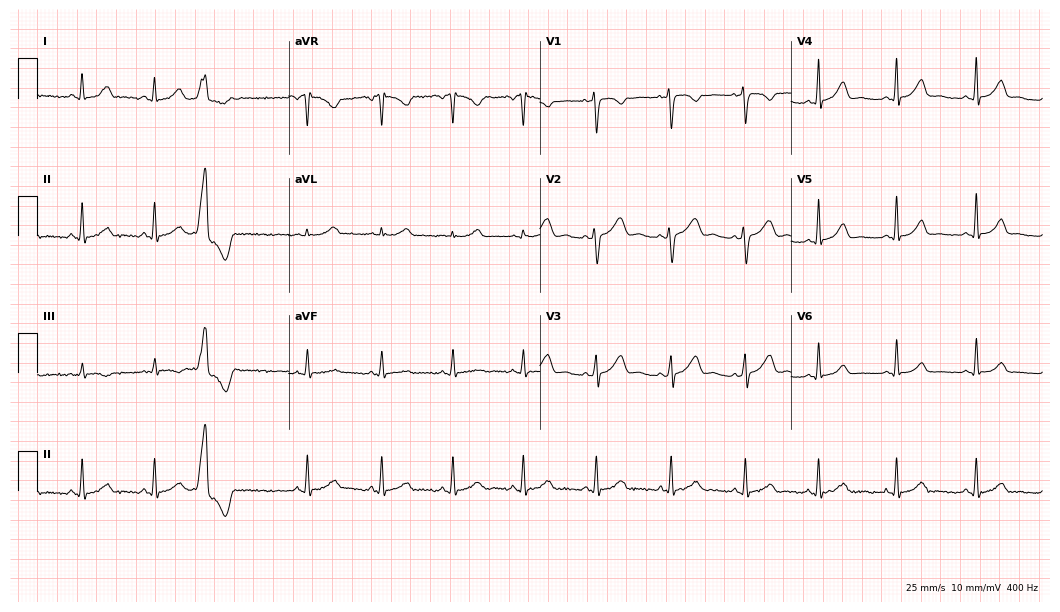
Standard 12-lead ECG recorded from a female patient, 38 years old (10.2-second recording at 400 Hz). None of these six findings is recorded: first-degree AV block, right bundle branch block, left bundle branch block, sinus bradycardia, atrial fibrillation, sinus tachycardia. Findings outside these six are not listed.